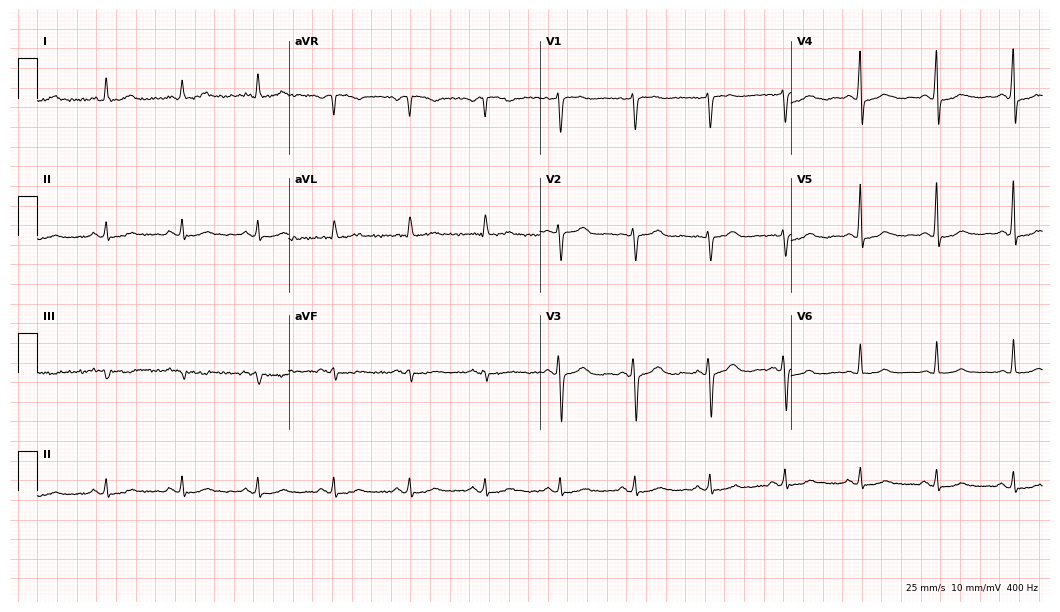
Standard 12-lead ECG recorded from a woman, 62 years old (10.2-second recording at 400 Hz). None of these six findings is recorded: first-degree AV block, right bundle branch block, left bundle branch block, sinus bradycardia, atrial fibrillation, sinus tachycardia. Findings outside these six are not listed.